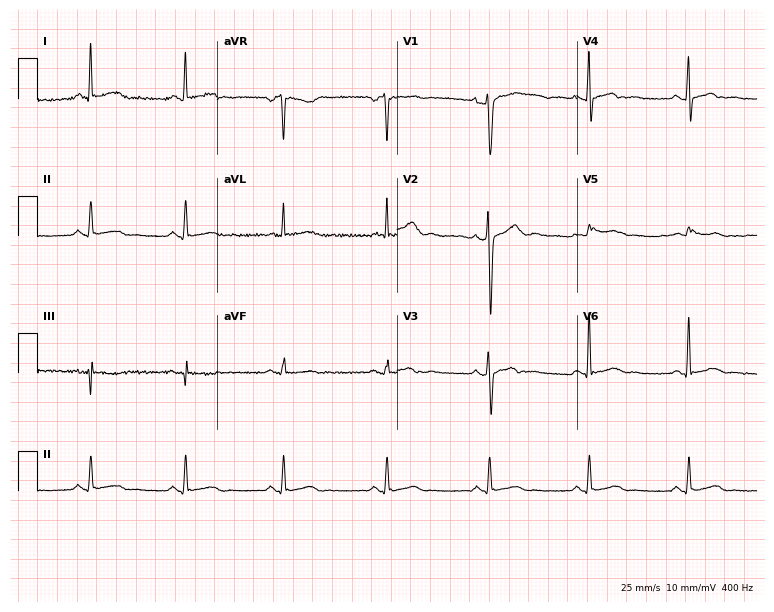
Resting 12-lead electrocardiogram (7.3-second recording at 400 Hz). Patient: a male, 42 years old. None of these six findings is recorded: first-degree AV block, right bundle branch block, left bundle branch block, sinus bradycardia, atrial fibrillation, sinus tachycardia.